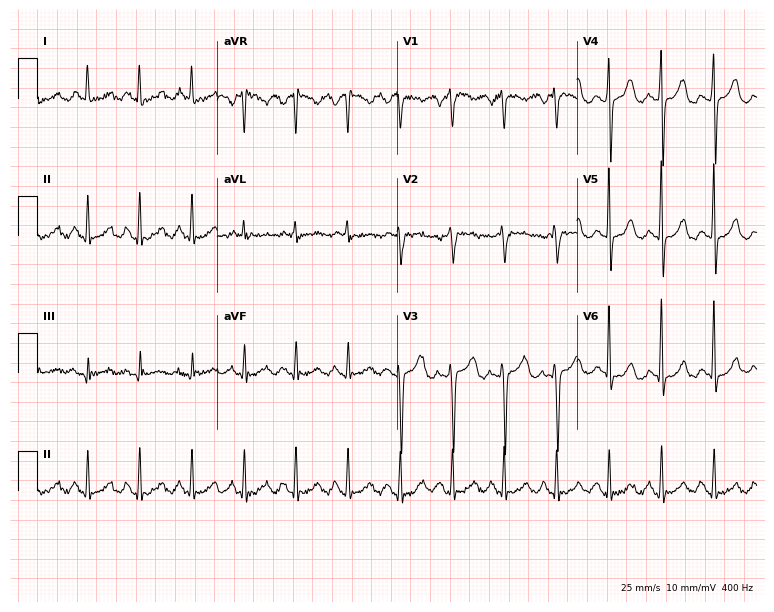
12-lead ECG from a 49-year-old female (7.3-second recording at 400 Hz). Shows sinus tachycardia (a sinus rate of 100 beats per minute or more).